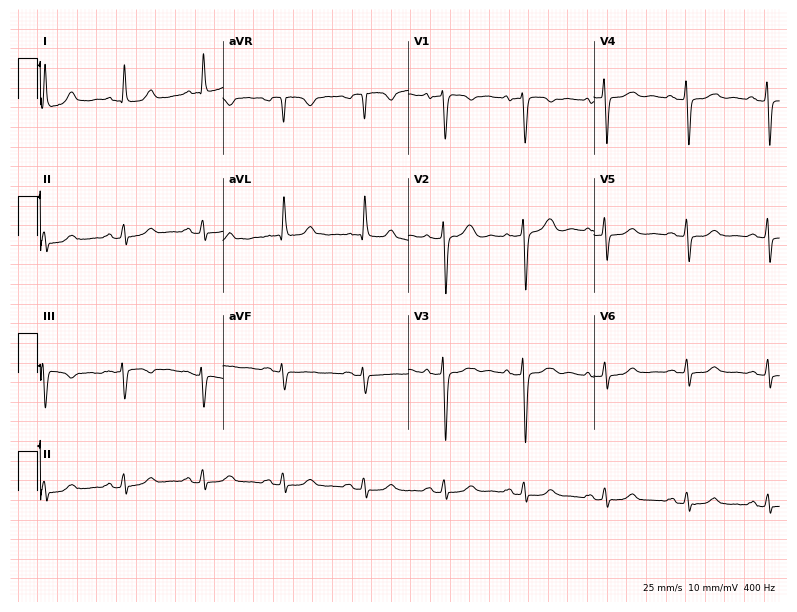
Resting 12-lead electrocardiogram (7.6-second recording at 400 Hz). Patient: a 68-year-old female. Read as a normal ECG.